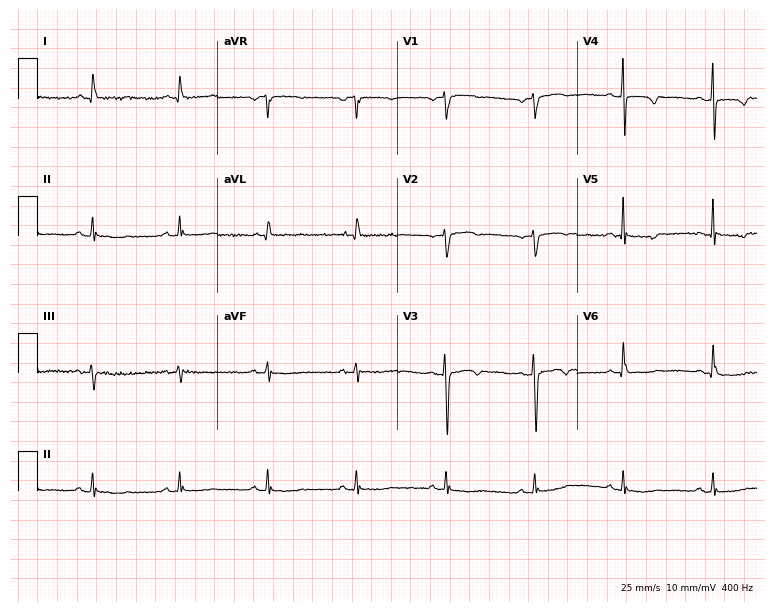
Resting 12-lead electrocardiogram (7.3-second recording at 400 Hz). Patient: a woman, 62 years old. None of these six findings is recorded: first-degree AV block, right bundle branch block, left bundle branch block, sinus bradycardia, atrial fibrillation, sinus tachycardia.